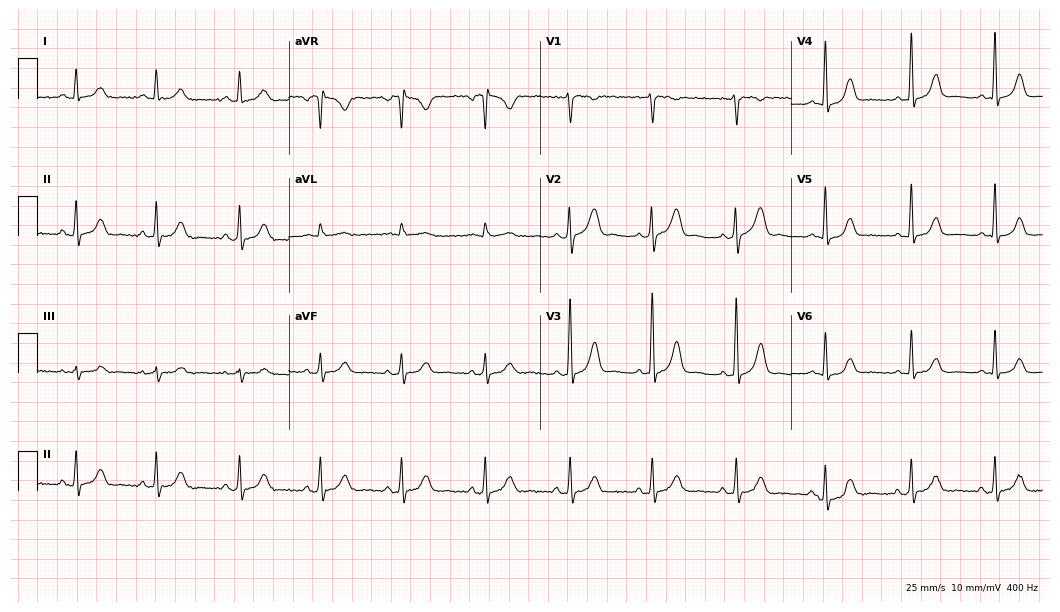
ECG — a female, 35 years old. Labelled as a normal ECG.